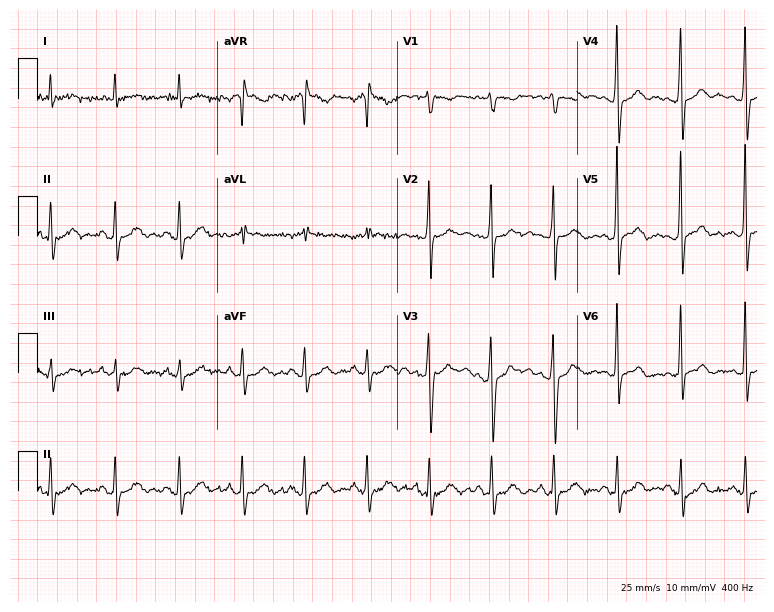
12-lead ECG from a 33-year-old man (7.3-second recording at 400 Hz). Recorded interpretation: within normal limits.